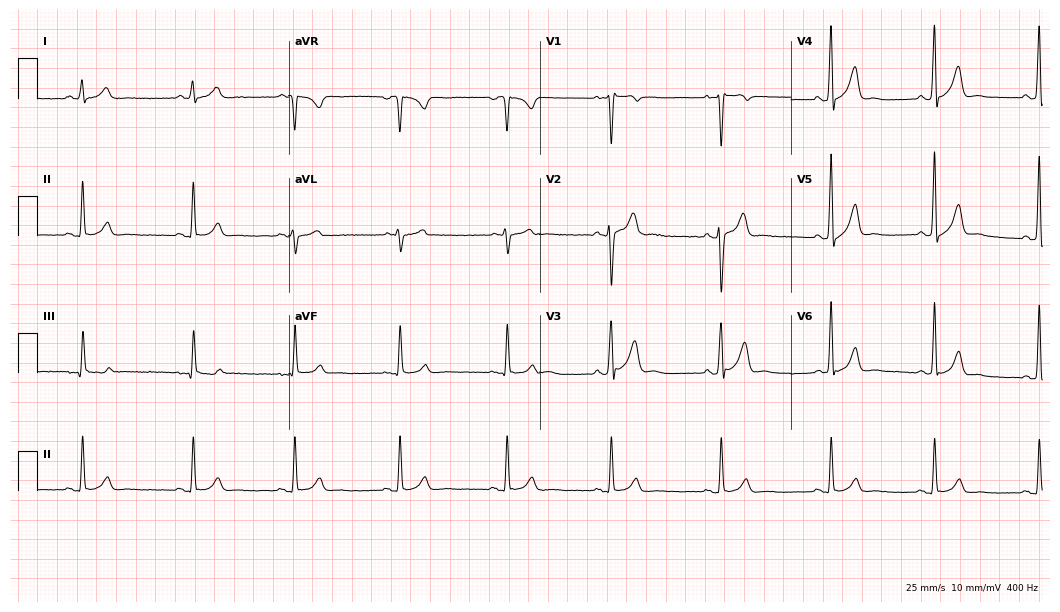
Standard 12-lead ECG recorded from a male patient, 43 years old (10.2-second recording at 400 Hz). Read as a normal ECG.